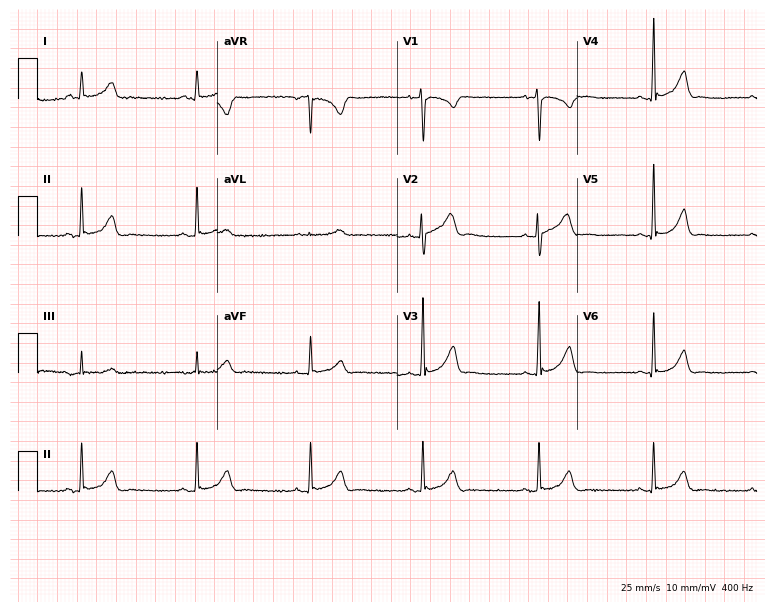
Resting 12-lead electrocardiogram. Patient: a male, 24 years old. Read as a normal ECG.